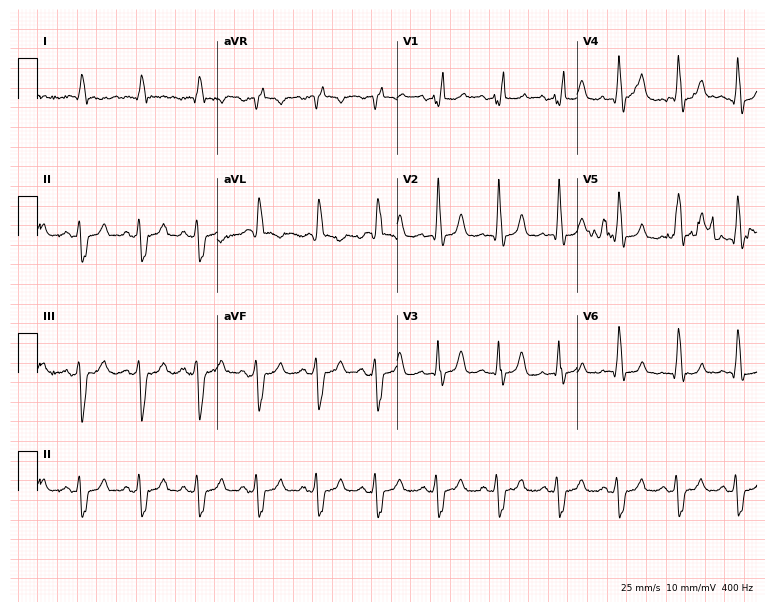
12-lead ECG from a 77-year-old female patient (7.3-second recording at 400 Hz). Shows right bundle branch block (RBBB).